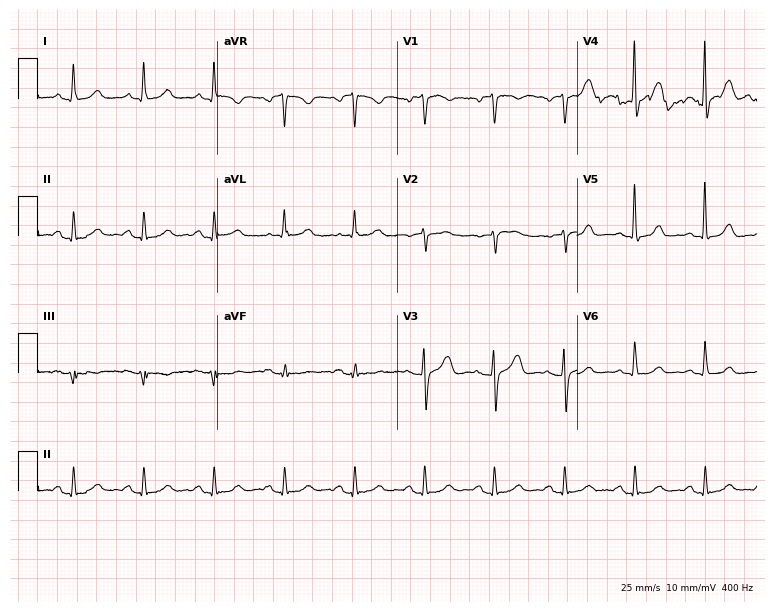
12-lead ECG from a female patient, 72 years old. Labelled as a normal ECG.